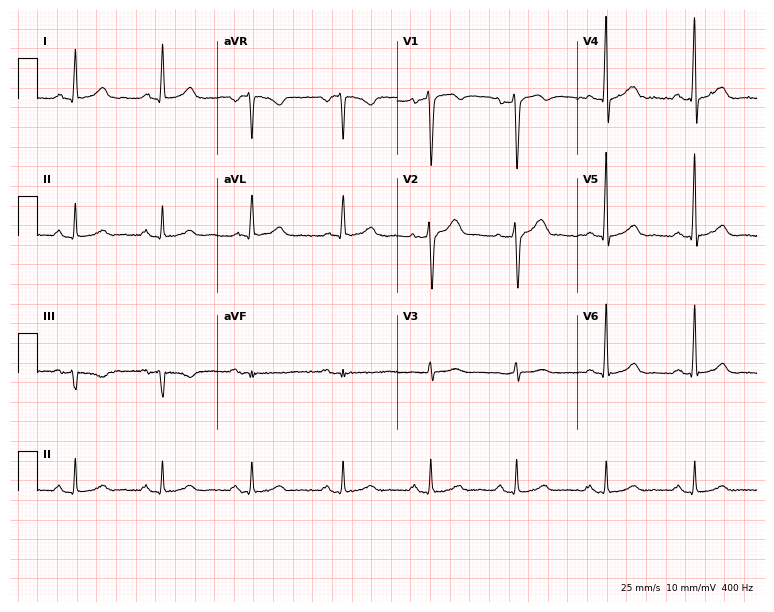
12-lead ECG from a male, 59 years old. Screened for six findings — first-degree AV block, right bundle branch block (RBBB), left bundle branch block (LBBB), sinus bradycardia, atrial fibrillation (AF), sinus tachycardia — none is recorded.